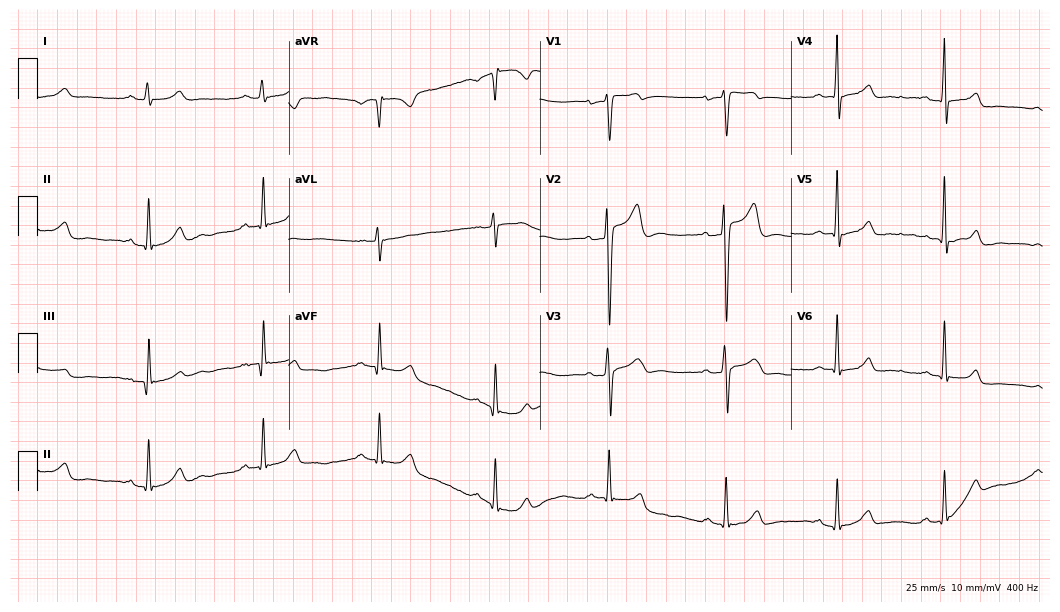
Electrocardiogram, a man, 26 years old. Overall reading on record: normal ECG.